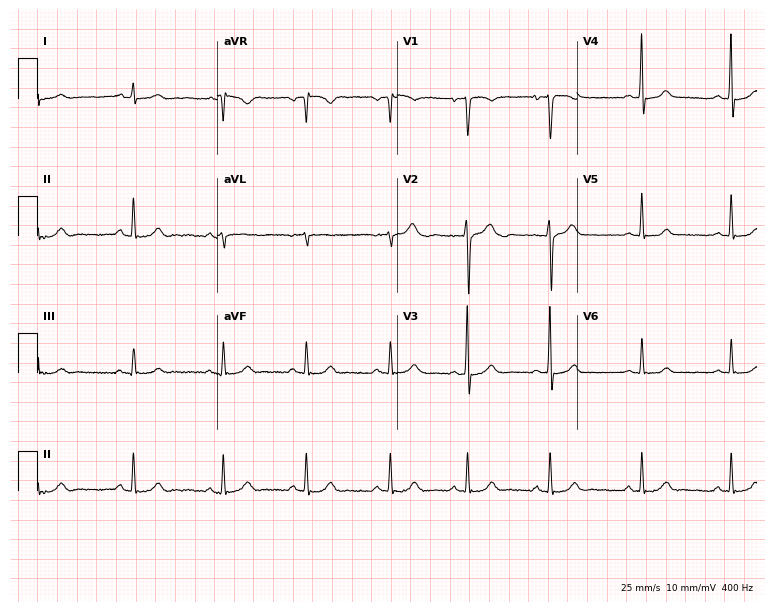
ECG (7.3-second recording at 400 Hz) — a male patient, 19 years old. Labelled as a normal ECG.